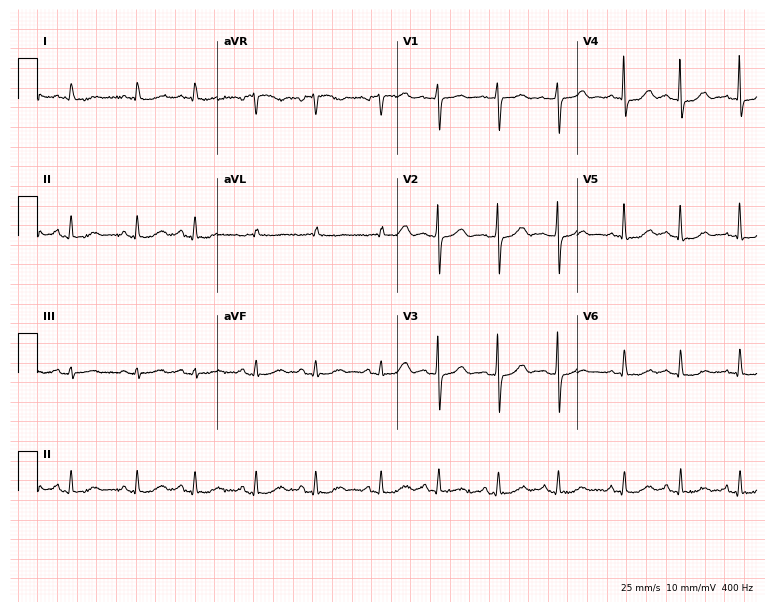
12-lead ECG from a 78-year-old female patient. Screened for six findings — first-degree AV block, right bundle branch block, left bundle branch block, sinus bradycardia, atrial fibrillation, sinus tachycardia — none is recorded.